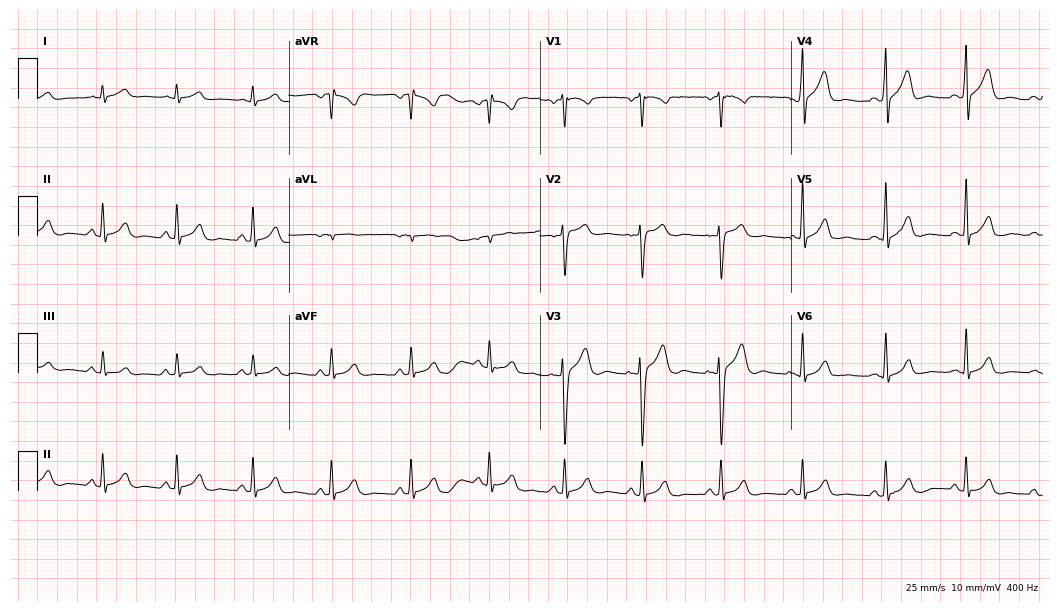
12-lead ECG (10.2-second recording at 400 Hz) from a 31-year-old man. Labelled as a normal ECG.